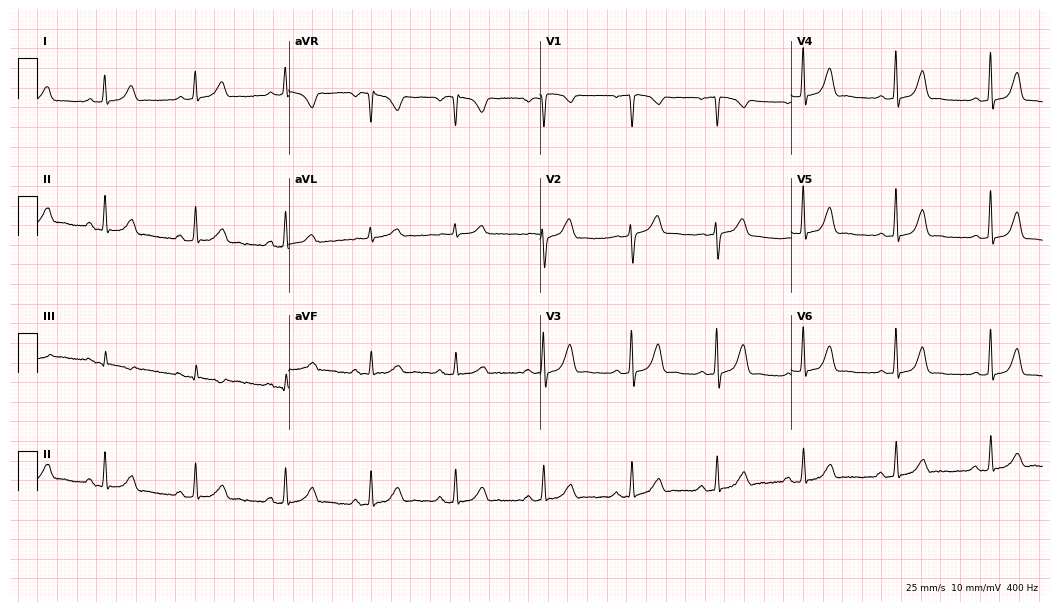
ECG — a woman, 42 years old. Screened for six findings — first-degree AV block, right bundle branch block, left bundle branch block, sinus bradycardia, atrial fibrillation, sinus tachycardia — none is recorded. Findings outside these six are not listed.